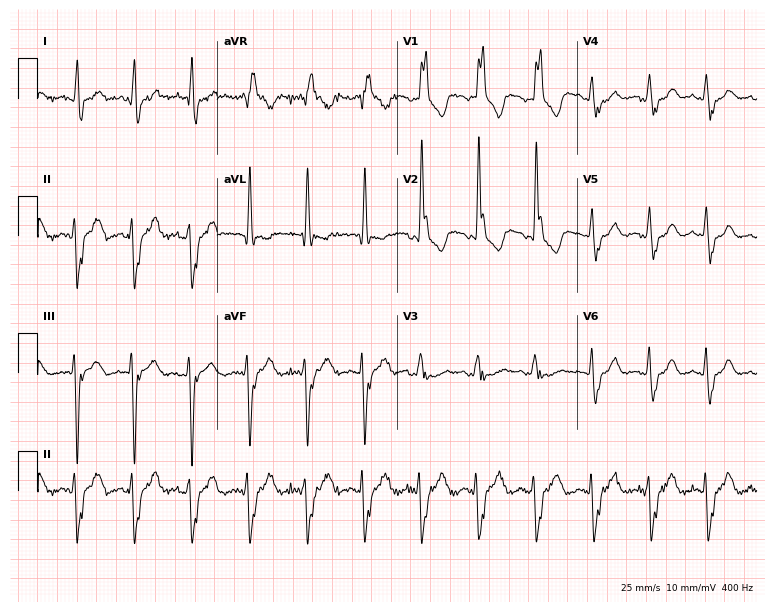
ECG — a male patient, 62 years old. Findings include sinus tachycardia (a sinus rate of 100 beats per minute or more).